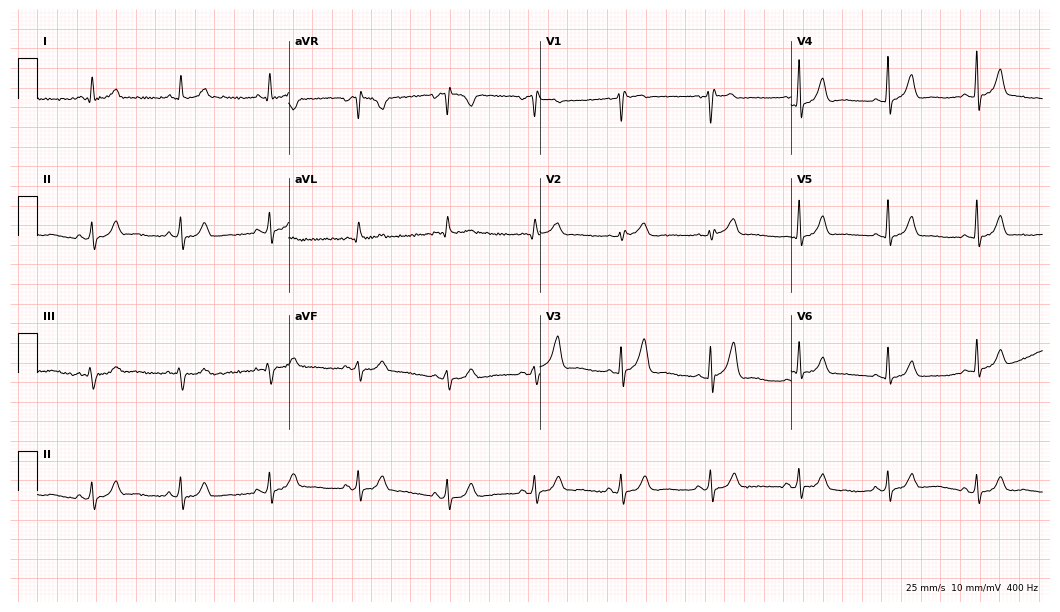
Standard 12-lead ECG recorded from a 70-year-old male patient (10.2-second recording at 400 Hz). None of these six findings is recorded: first-degree AV block, right bundle branch block (RBBB), left bundle branch block (LBBB), sinus bradycardia, atrial fibrillation (AF), sinus tachycardia. Only these six findings were labelled.